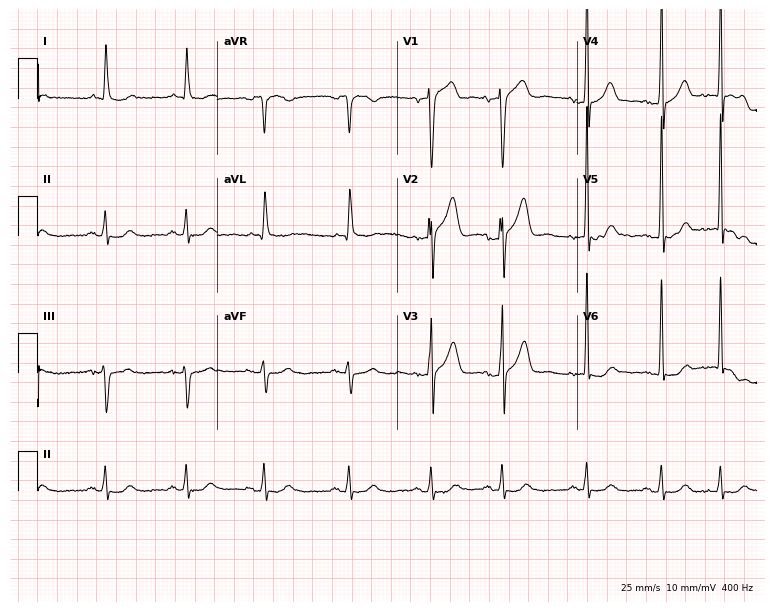
Standard 12-lead ECG recorded from a 76-year-old man (7.3-second recording at 400 Hz). None of these six findings is recorded: first-degree AV block, right bundle branch block, left bundle branch block, sinus bradycardia, atrial fibrillation, sinus tachycardia.